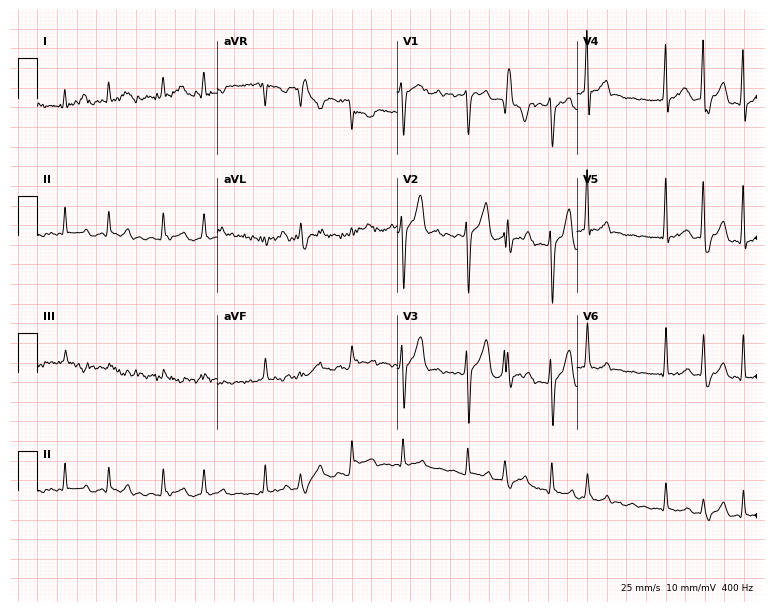
ECG (7.3-second recording at 400 Hz) — a man, 39 years old. Findings include atrial fibrillation.